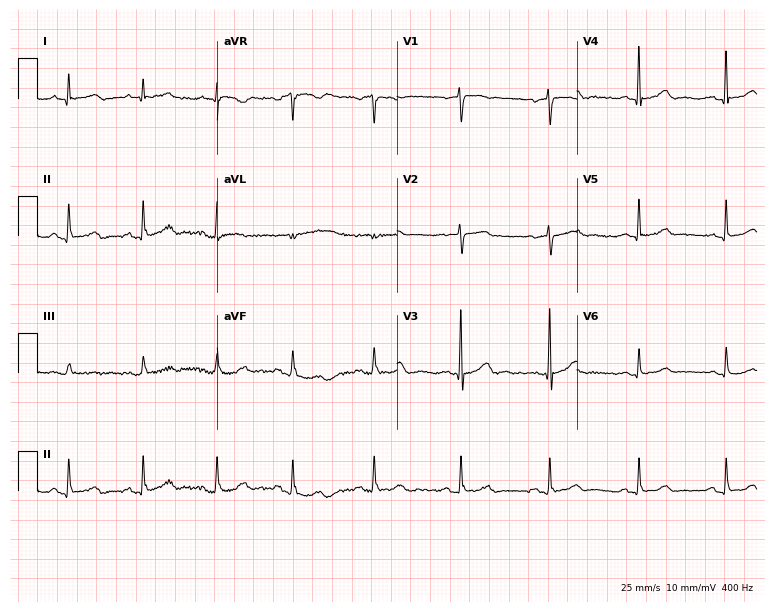
Standard 12-lead ECG recorded from a 74-year-old female patient. Read as a normal ECG.